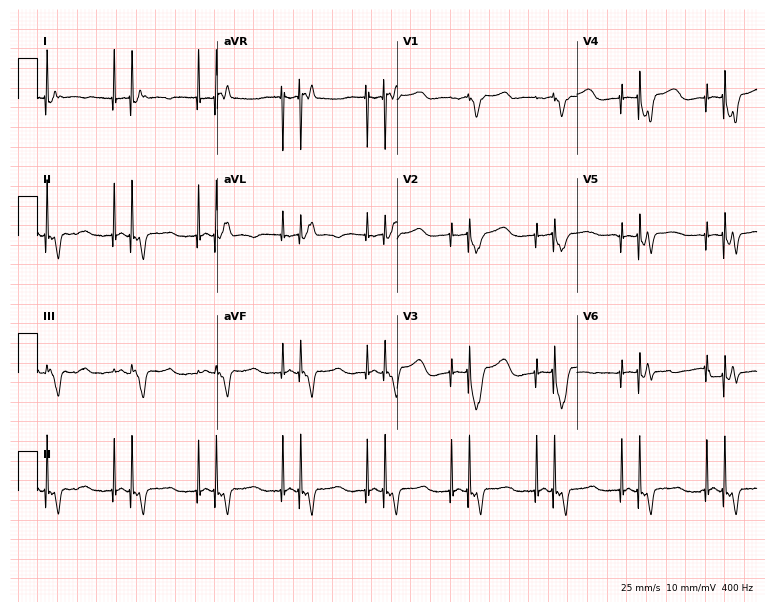
Resting 12-lead electrocardiogram (7.3-second recording at 400 Hz). Patient: a woman, 60 years old. None of these six findings is recorded: first-degree AV block, right bundle branch block, left bundle branch block, sinus bradycardia, atrial fibrillation, sinus tachycardia. Only these six findings were labelled.